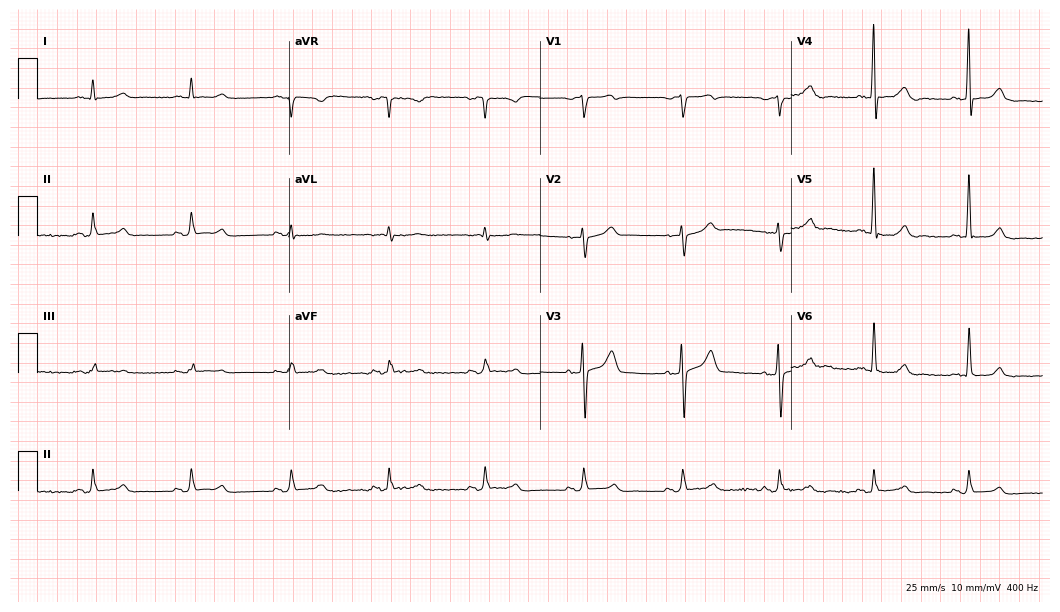
12-lead ECG from a 67-year-old male. Labelled as a normal ECG.